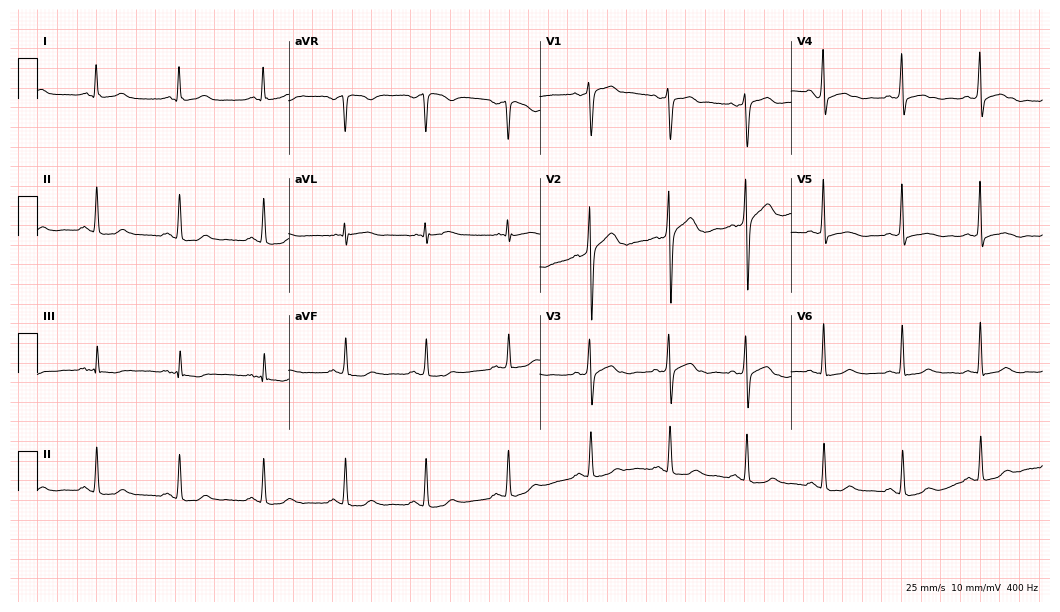
12-lead ECG from a male patient, 41 years old (10.2-second recording at 400 Hz). Recorded interpretation: within normal limits.